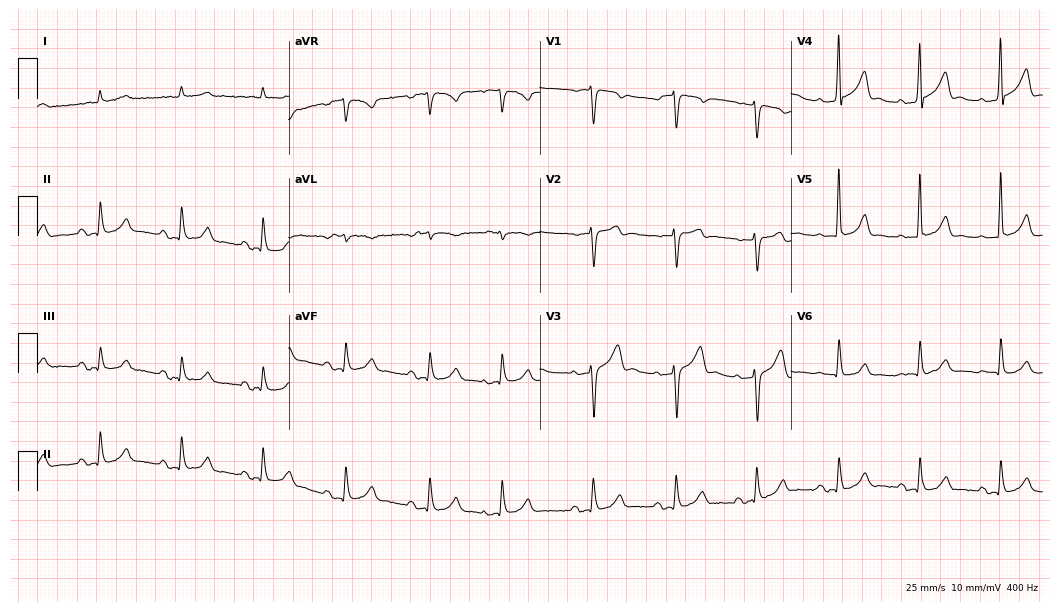
Standard 12-lead ECG recorded from a man, 66 years old (10.2-second recording at 400 Hz). Read as a normal ECG.